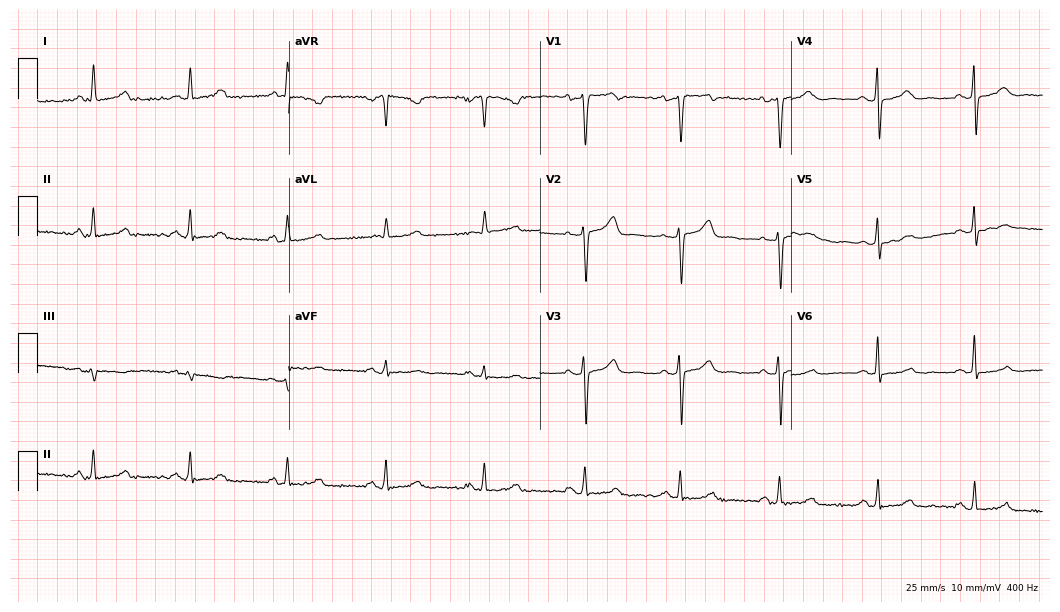
Electrocardiogram, a 39-year-old female patient. Of the six screened findings (first-degree AV block, right bundle branch block, left bundle branch block, sinus bradycardia, atrial fibrillation, sinus tachycardia), none is recorded.